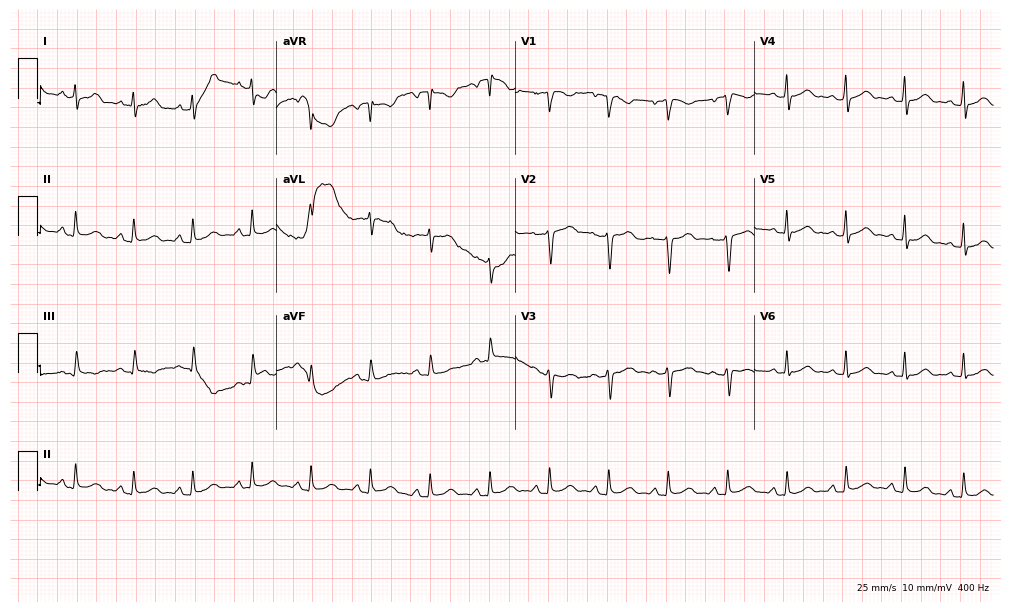
Electrocardiogram (9.7-second recording at 400 Hz), a female, 51 years old. Overall reading on record: normal ECG.